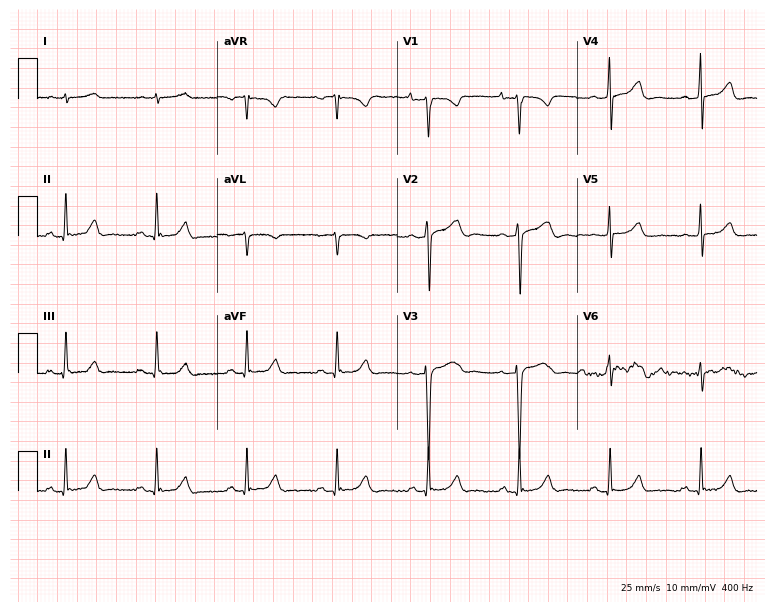
Electrocardiogram (7.3-second recording at 400 Hz), a man, 64 years old. Of the six screened findings (first-degree AV block, right bundle branch block, left bundle branch block, sinus bradycardia, atrial fibrillation, sinus tachycardia), none is recorded.